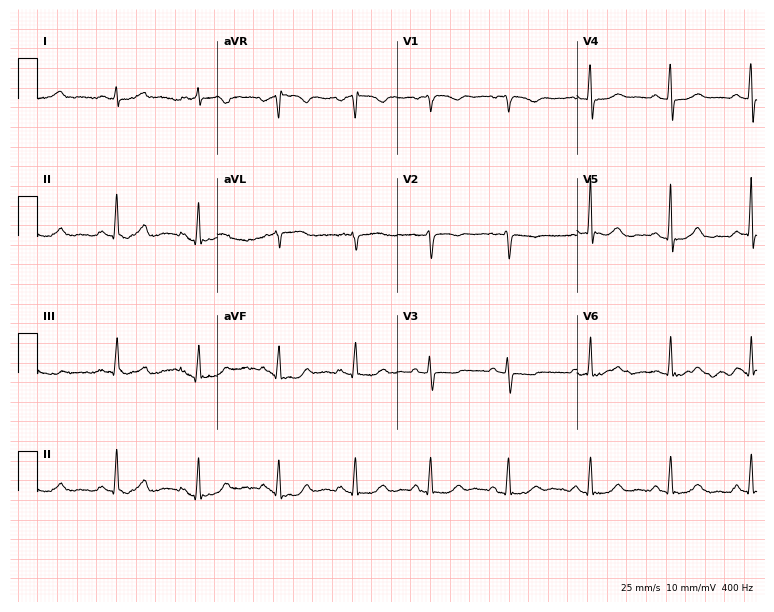
12-lead ECG from a female, 44 years old (7.3-second recording at 400 Hz). No first-degree AV block, right bundle branch block, left bundle branch block, sinus bradycardia, atrial fibrillation or sinus tachycardia recorded for this tracing. Only these six findings were labelled.